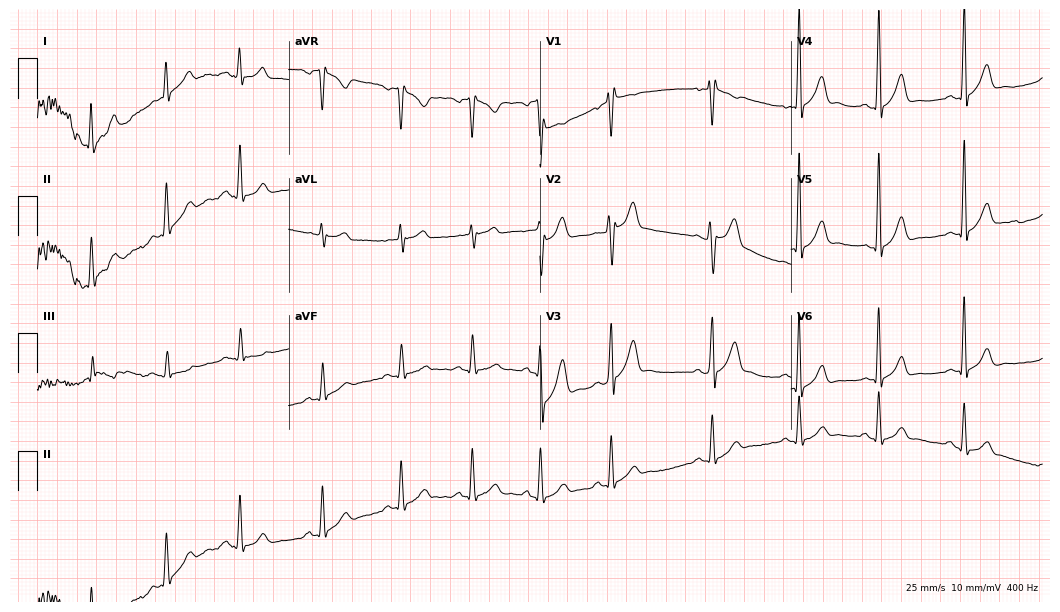
Resting 12-lead electrocardiogram. Patient: a 24-year-old male. None of these six findings is recorded: first-degree AV block, right bundle branch block, left bundle branch block, sinus bradycardia, atrial fibrillation, sinus tachycardia. Findings outside these six are not listed.